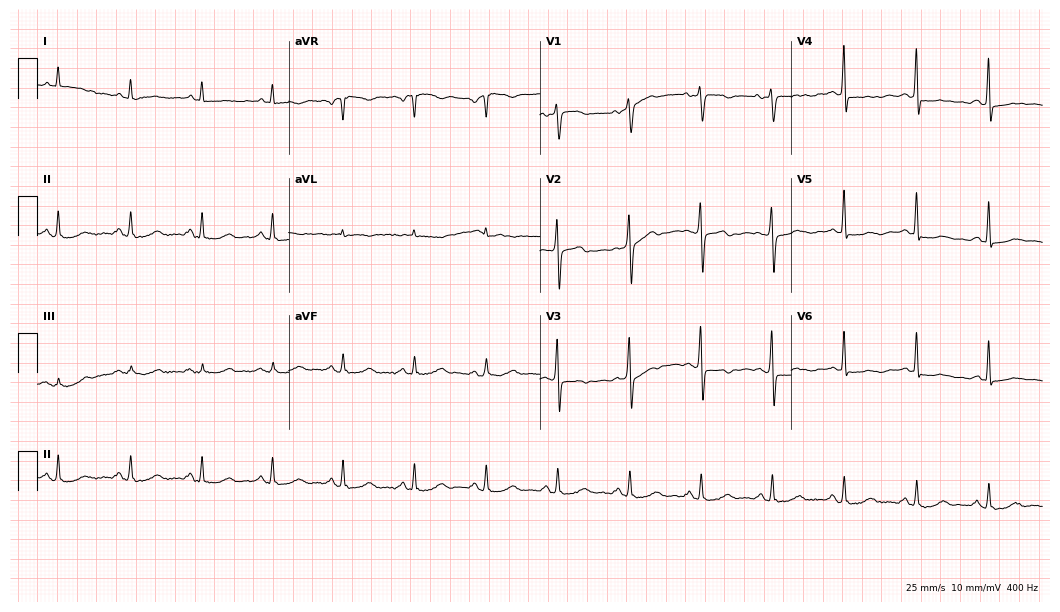
Resting 12-lead electrocardiogram (10.2-second recording at 400 Hz). Patient: a female, 62 years old. None of these six findings is recorded: first-degree AV block, right bundle branch block, left bundle branch block, sinus bradycardia, atrial fibrillation, sinus tachycardia.